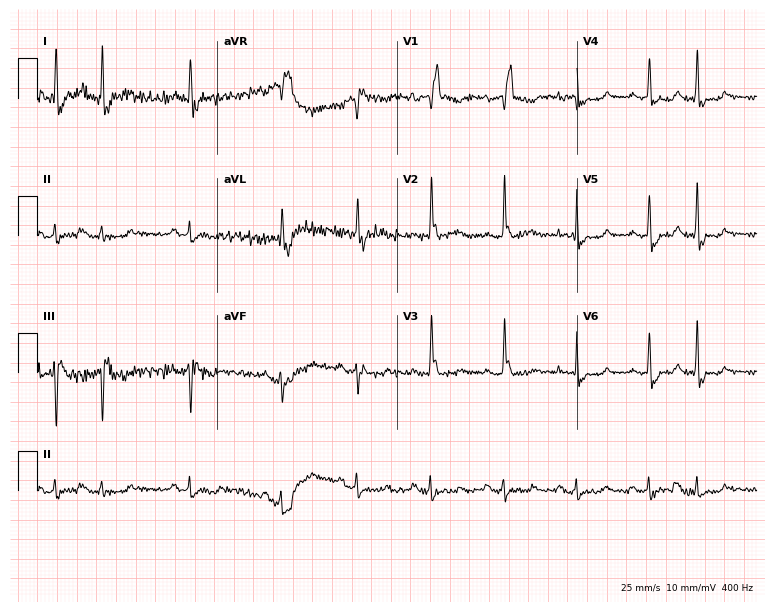
12-lead ECG from a 75-year-old male (7.3-second recording at 400 Hz). Shows right bundle branch block, atrial fibrillation.